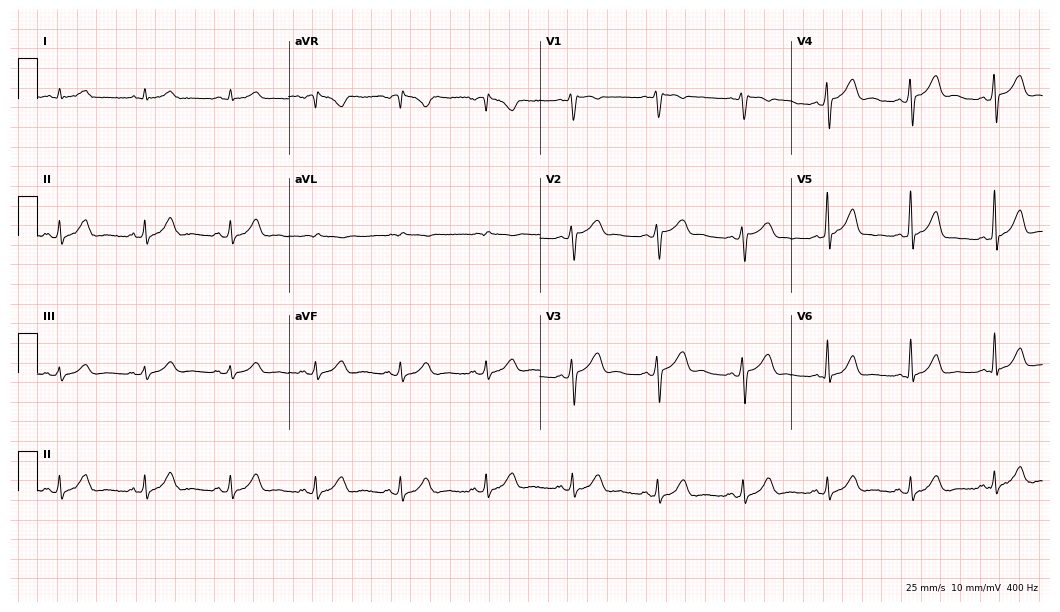
Resting 12-lead electrocardiogram (10.2-second recording at 400 Hz). Patient: a 63-year-old man. Read as a normal ECG.